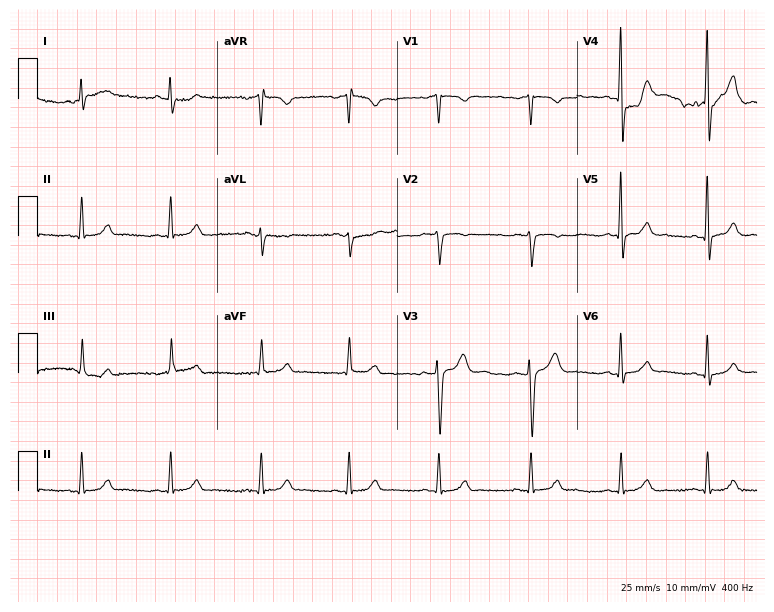
12-lead ECG from a 52-year-old male. Labelled as a normal ECG.